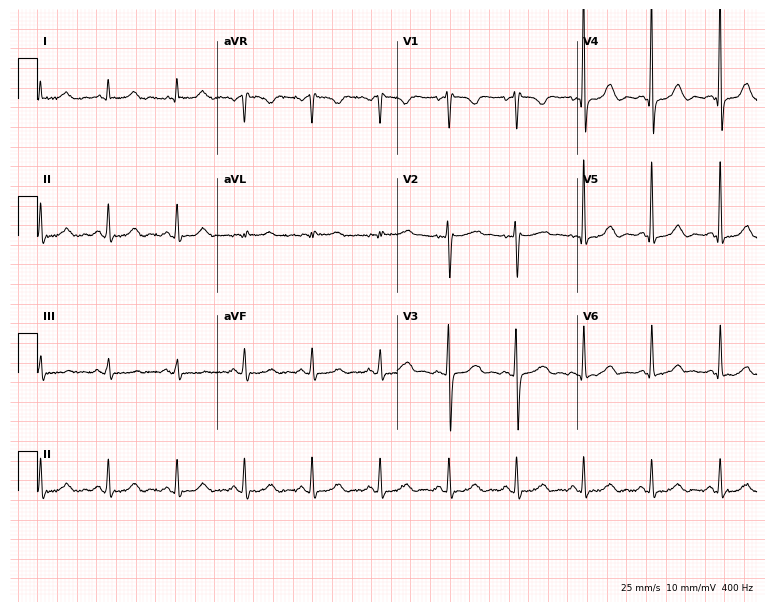
12-lead ECG from a 66-year-old male. Screened for six findings — first-degree AV block, right bundle branch block, left bundle branch block, sinus bradycardia, atrial fibrillation, sinus tachycardia — none is recorded. Findings outside these six are not listed.